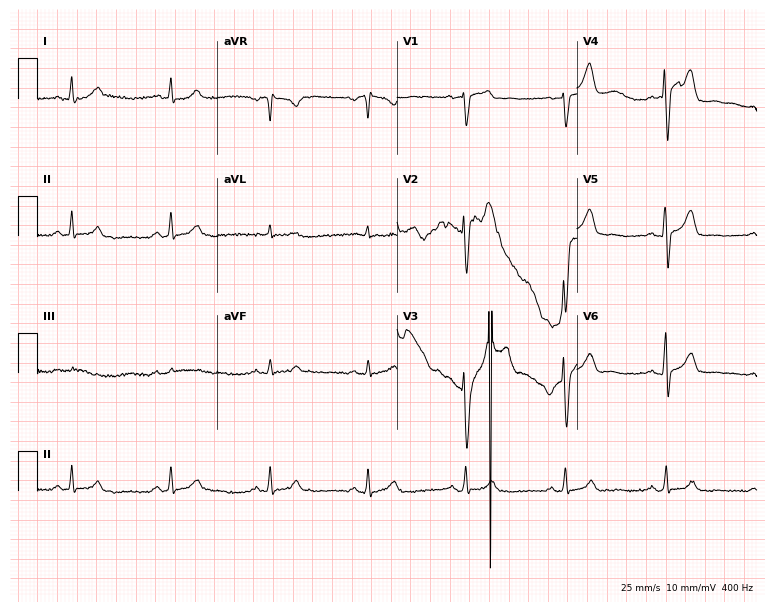
Resting 12-lead electrocardiogram. Patient: a 65-year-old man. None of these six findings is recorded: first-degree AV block, right bundle branch block, left bundle branch block, sinus bradycardia, atrial fibrillation, sinus tachycardia.